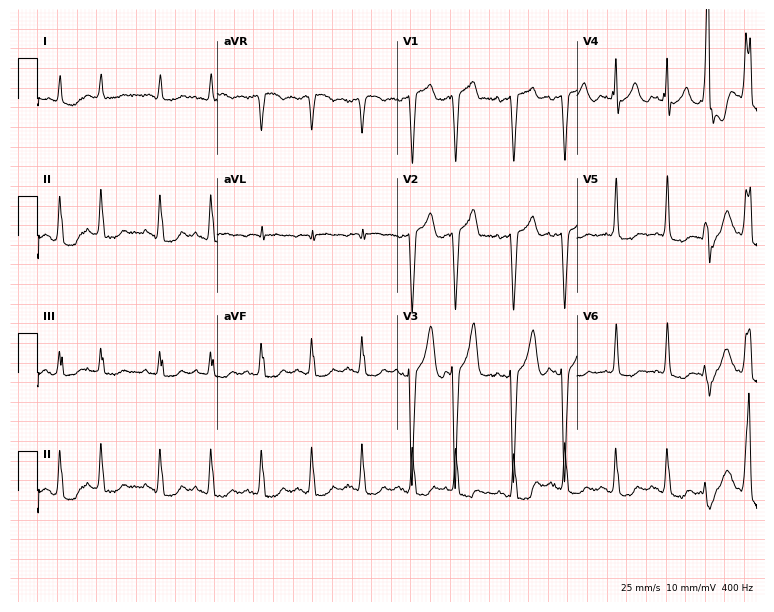
ECG (7.3-second recording at 400 Hz) — a 77-year-old male. Findings include sinus tachycardia (a sinus rate of 100 beats per minute or more).